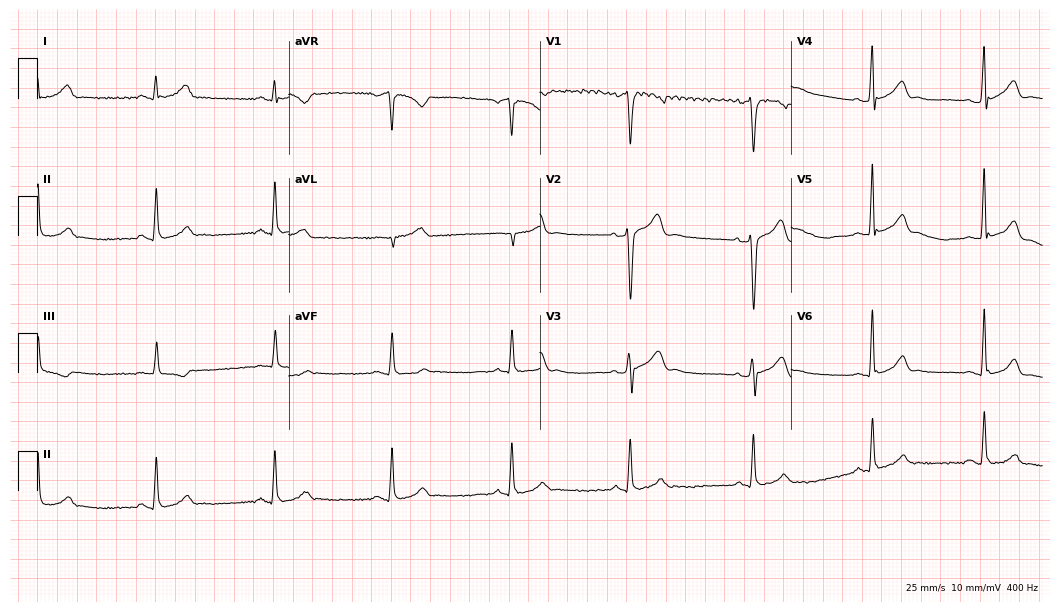
12-lead ECG from a 28-year-old male patient (10.2-second recording at 400 Hz). Shows sinus bradycardia (a sinus rate of 50 beats per minute or less).